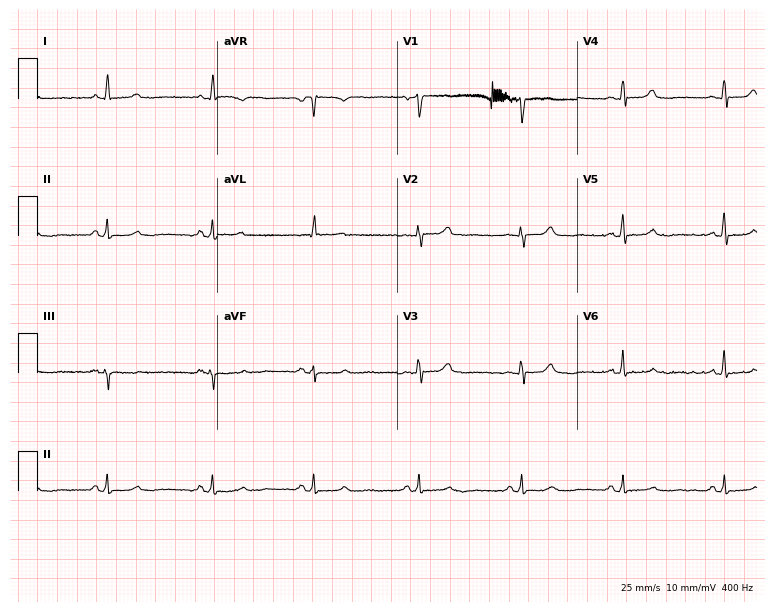
ECG — a woman, 62 years old. Screened for six findings — first-degree AV block, right bundle branch block (RBBB), left bundle branch block (LBBB), sinus bradycardia, atrial fibrillation (AF), sinus tachycardia — none is recorded.